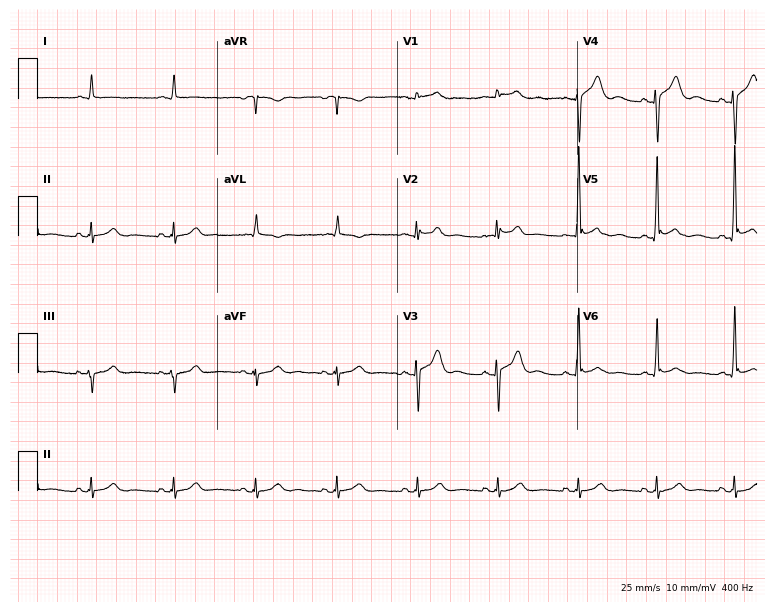
Electrocardiogram (7.3-second recording at 400 Hz), a 37-year-old male. Of the six screened findings (first-degree AV block, right bundle branch block, left bundle branch block, sinus bradycardia, atrial fibrillation, sinus tachycardia), none is recorded.